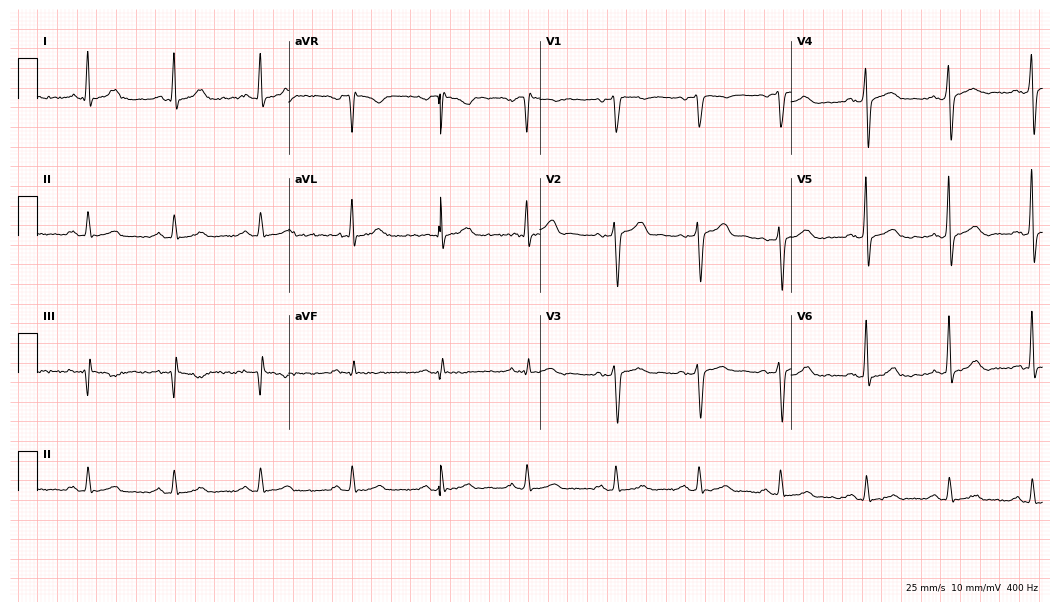
ECG (10.2-second recording at 400 Hz) — a 27-year-old male. Labelled as a normal ECG.